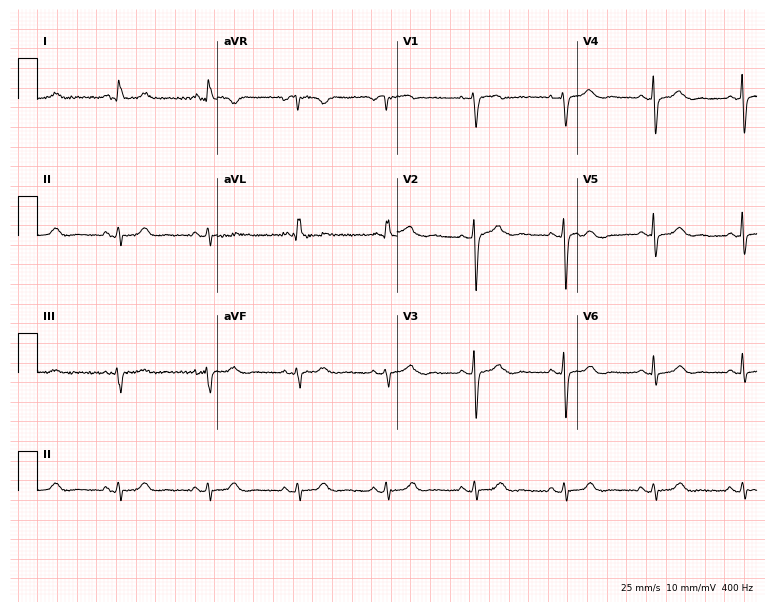
12-lead ECG from a woman, 68 years old. Screened for six findings — first-degree AV block, right bundle branch block (RBBB), left bundle branch block (LBBB), sinus bradycardia, atrial fibrillation (AF), sinus tachycardia — none is recorded.